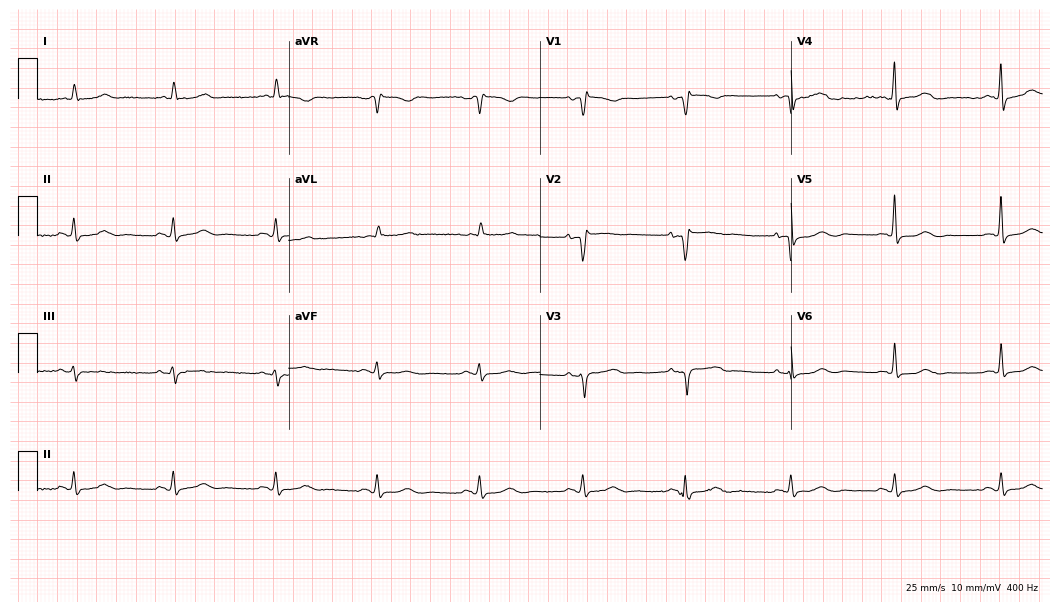
12-lead ECG from a female patient, 78 years old (10.2-second recording at 400 Hz). No first-degree AV block, right bundle branch block (RBBB), left bundle branch block (LBBB), sinus bradycardia, atrial fibrillation (AF) or sinus tachycardia recorded for this tracing. Only these six findings were labelled.